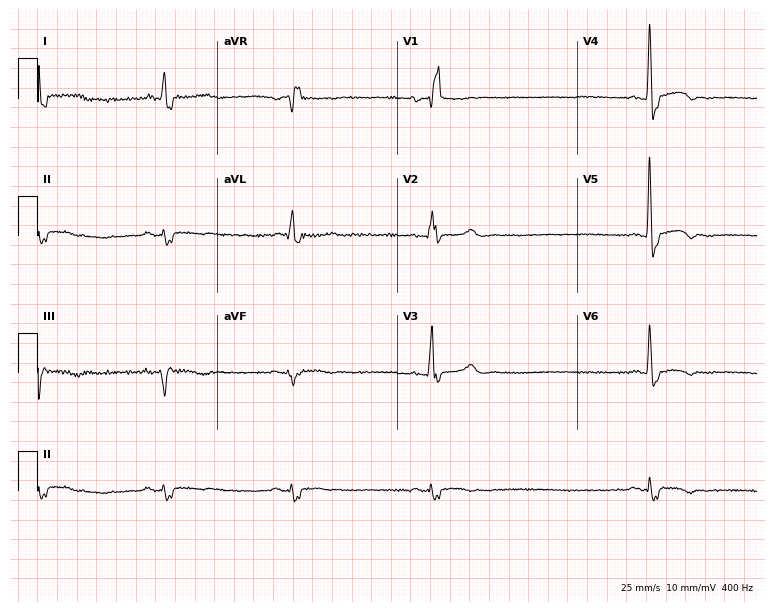
ECG (7.3-second recording at 400 Hz) — a 78-year-old female. Findings include right bundle branch block, sinus bradycardia (a sinus rate of 50 beats per minute or less).